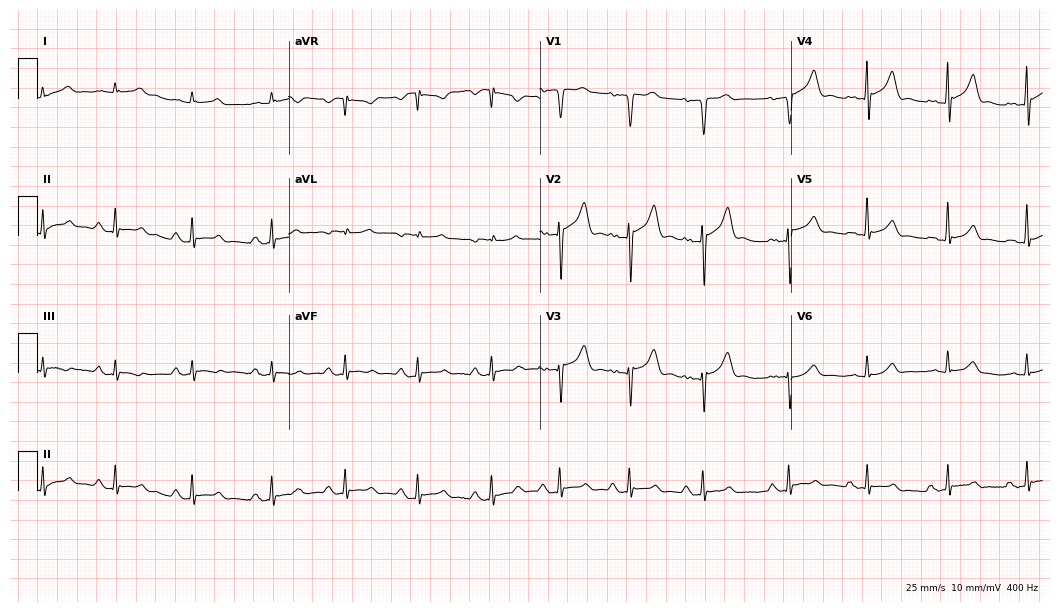
ECG — a 54-year-old male. Screened for six findings — first-degree AV block, right bundle branch block, left bundle branch block, sinus bradycardia, atrial fibrillation, sinus tachycardia — none is recorded. Other findings, if any, are not listed.